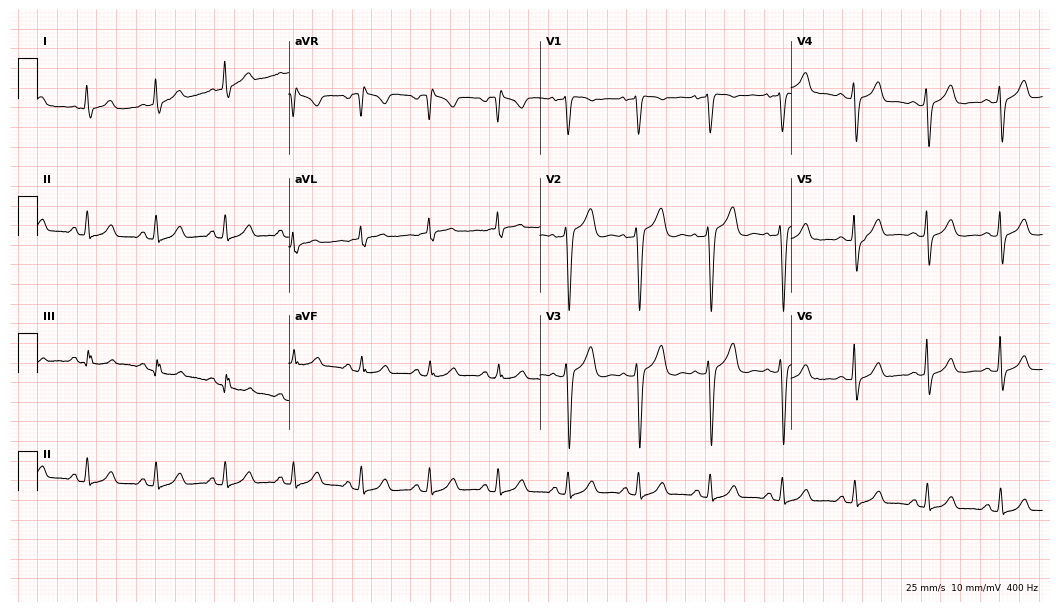
Standard 12-lead ECG recorded from a 48-year-old woman. None of these six findings is recorded: first-degree AV block, right bundle branch block, left bundle branch block, sinus bradycardia, atrial fibrillation, sinus tachycardia. Findings outside these six are not listed.